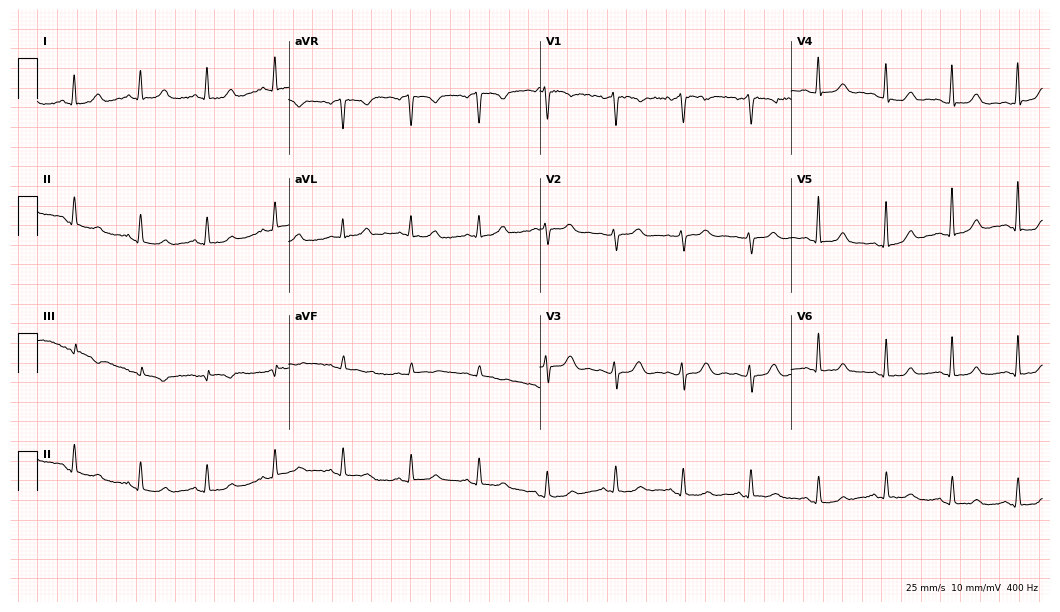
Resting 12-lead electrocardiogram (10.2-second recording at 400 Hz). Patient: a woman, 50 years old. Read as a normal ECG.